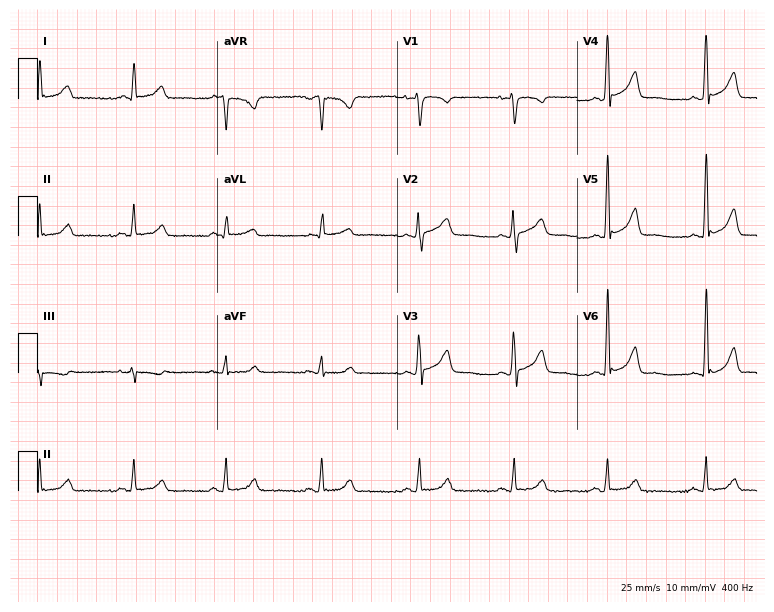
Standard 12-lead ECG recorded from a female, 46 years old. Read as a normal ECG.